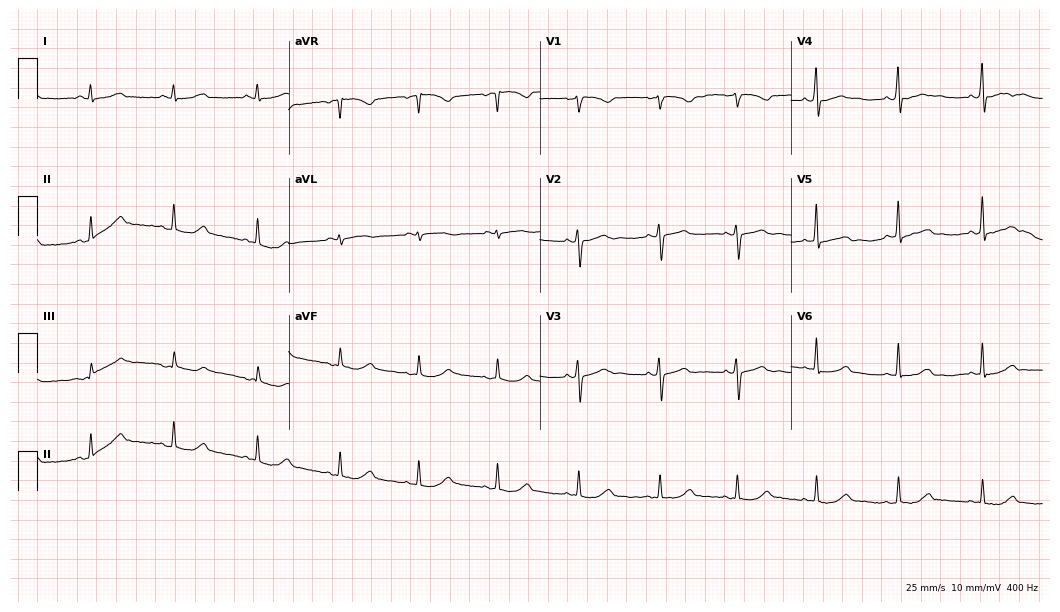
12-lead ECG from a woman, 26 years old. Labelled as a normal ECG.